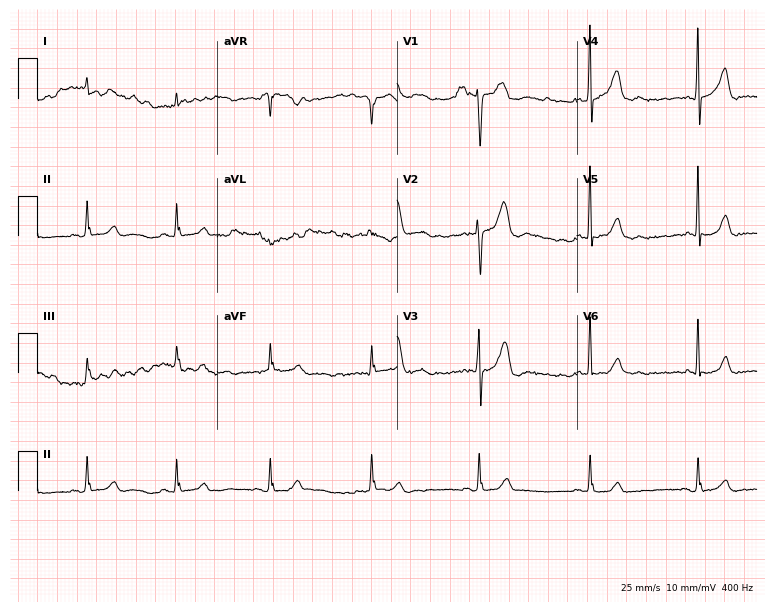
Electrocardiogram, a man, 48 years old. Overall reading on record: normal ECG.